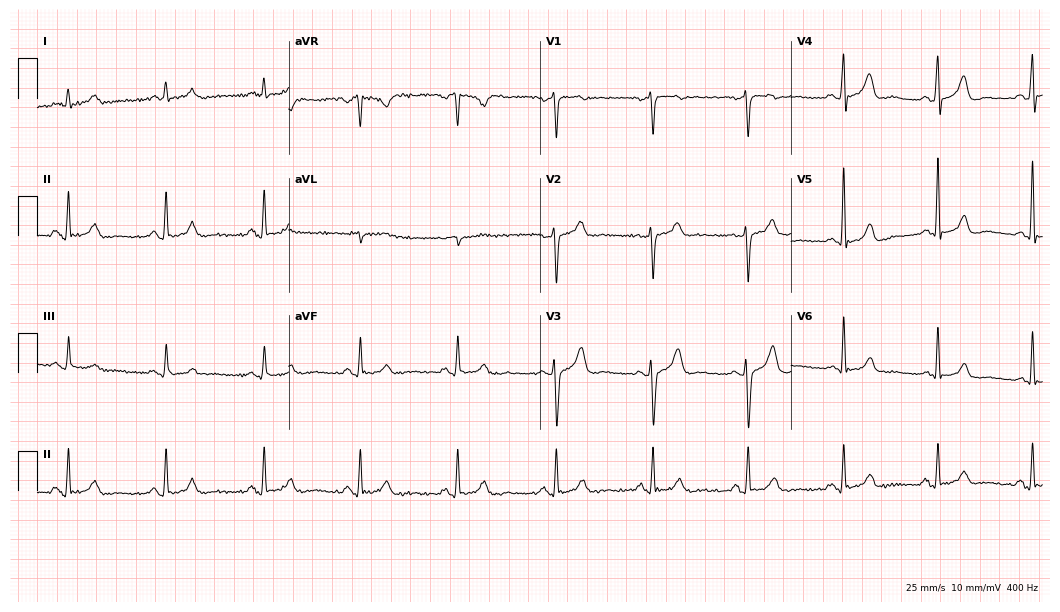
ECG — a 54-year-old man. Labelled as a normal ECG.